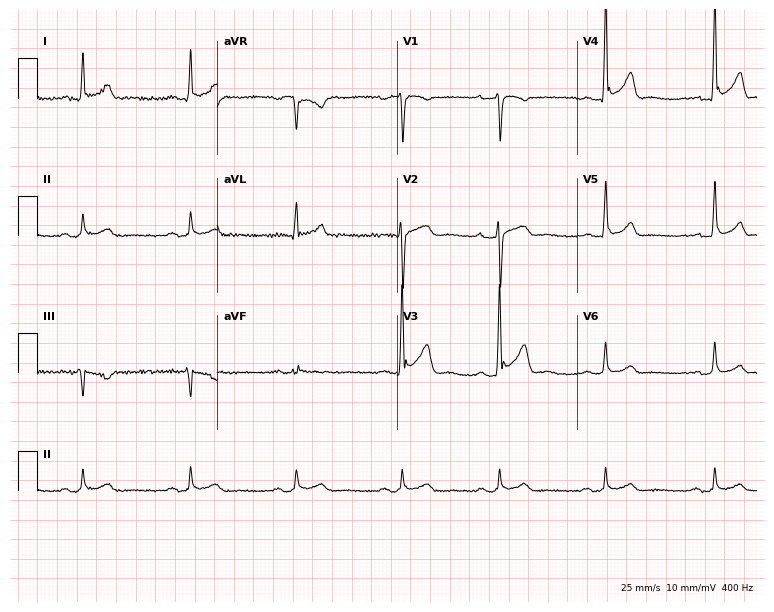
12-lead ECG from a 42-year-old male. Screened for six findings — first-degree AV block, right bundle branch block, left bundle branch block, sinus bradycardia, atrial fibrillation, sinus tachycardia — none is recorded.